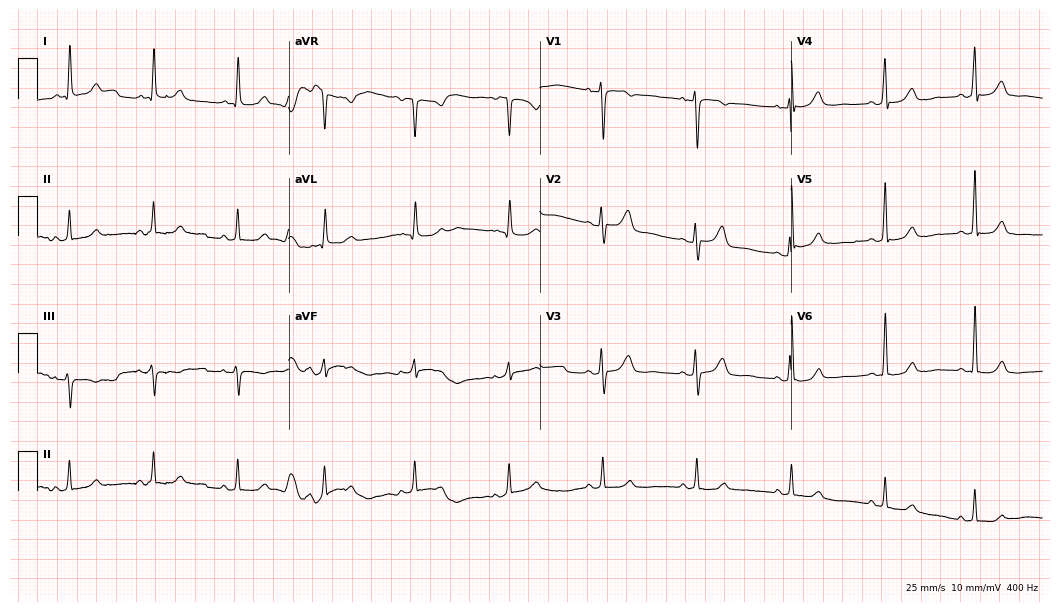
ECG (10.2-second recording at 400 Hz) — a 63-year-old woman. Screened for six findings — first-degree AV block, right bundle branch block (RBBB), left bundle branch block (LBBB), sinus bradycardia, atrial fibrillation (AF), sinus tachycardia — none is recorded.